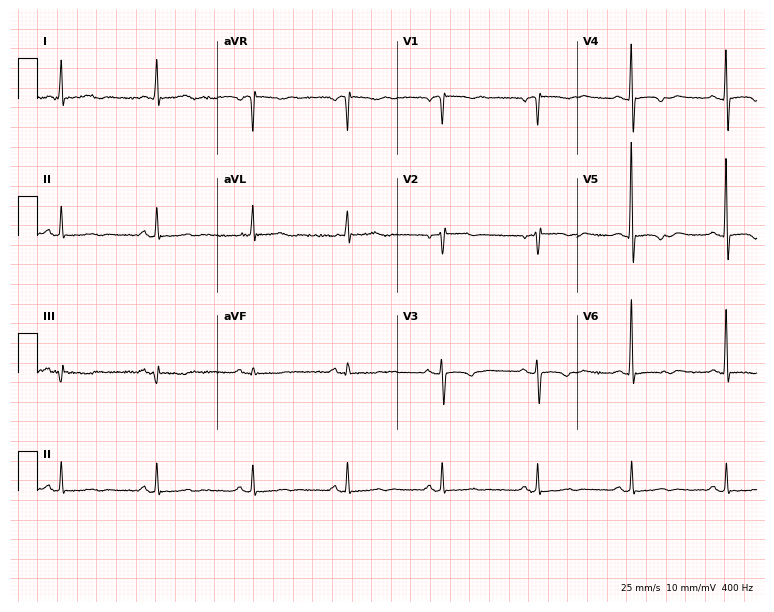
Standard 12-lead ECG recorded from a 68-year-old female patient. None of these six findings is recorded: first-degree AV block, right bundle branch block, left bundle branch block, sinus bradycardia, atrial fibrillation, sinus tachycardia.